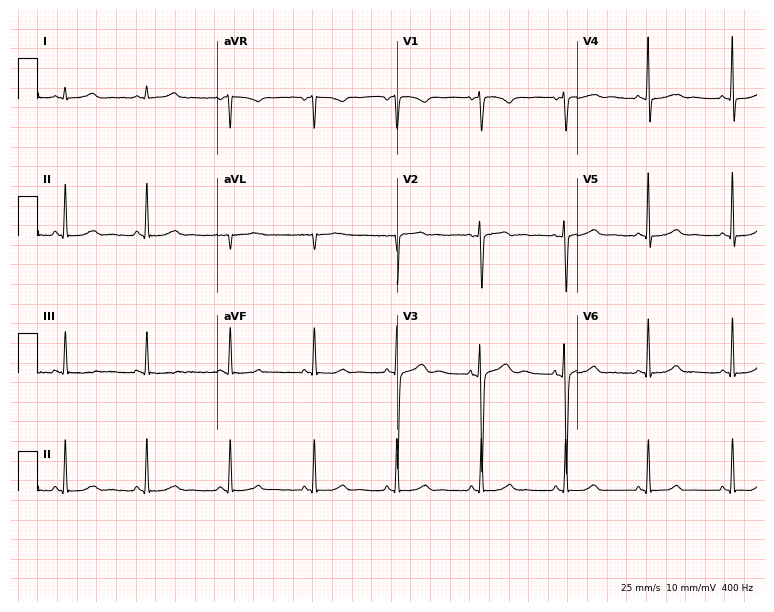
12-lead ECG (7.3-second recording at 400 Hz) from a 30-year-old woman. Screened for six findings — first-degree AV block, right bundle branch block, left bundle branch block, sinus bradycardia, atrial fibrillation, sinus tachycardia — none is recorded. Findings outside these six are not listed.